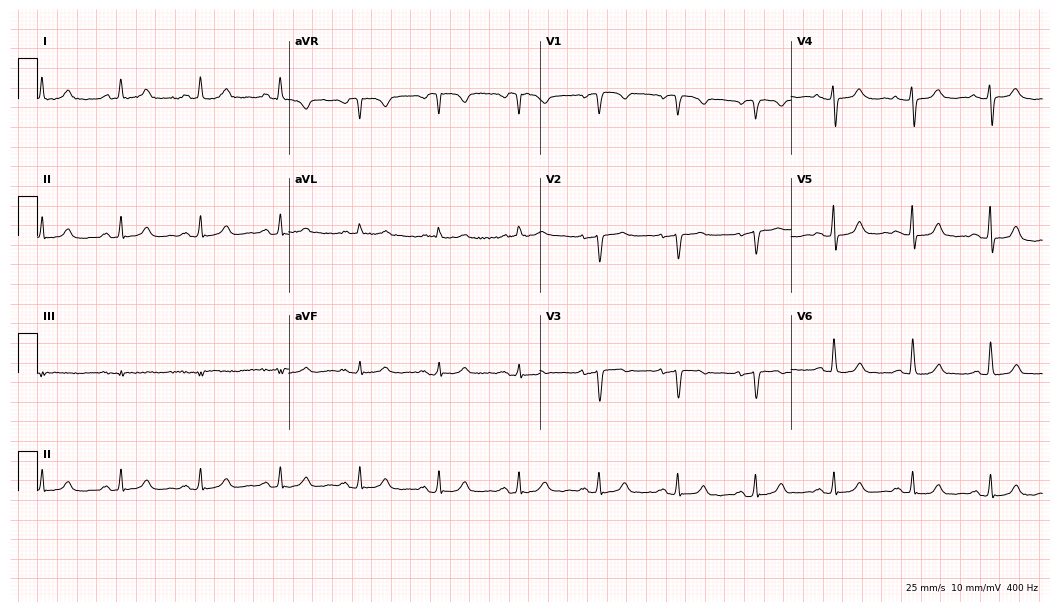
Electrocardiogram, a 70-year-old female patient. Of the six screened findings (first-degree AV block, right bundle branch block (RBBB), left bundle branch block (LBBB), sinus bradycardia, atrial fibrillation (AF), sinus tachycardia), none is recorded. Findings outside these six are not listed.